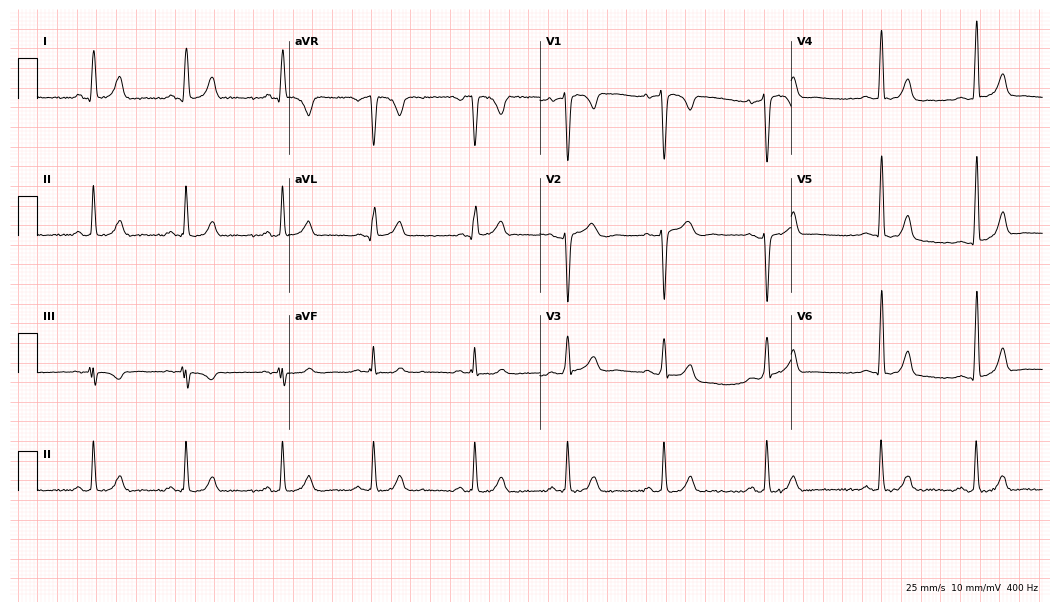
Resting 12-lead electrocardiogram (10.2-second recording at 400 Hz). Patient: a female, 24 years old. Read as a normal ECG.